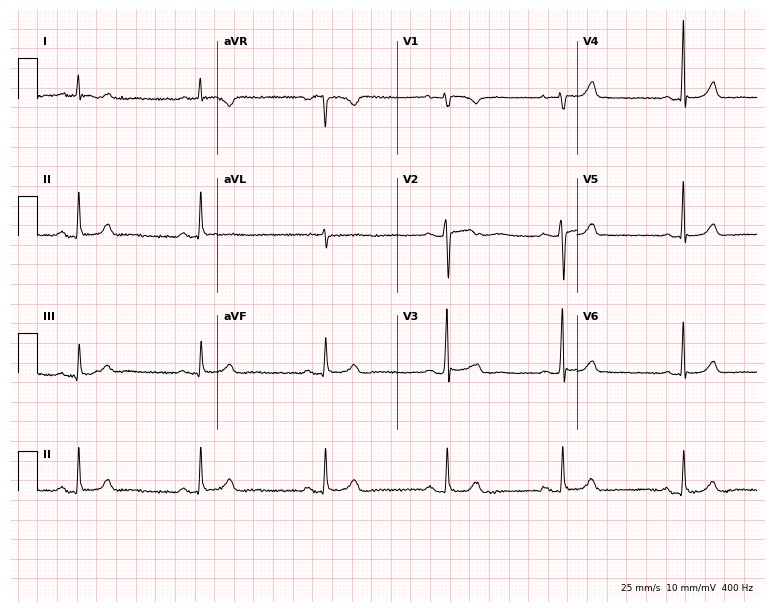
ECG (7.3-second recording at 400 Hz) — a 55-year-old female. Findings include sinus bradycardia (a sinus rate of 50 beats per minute or less).